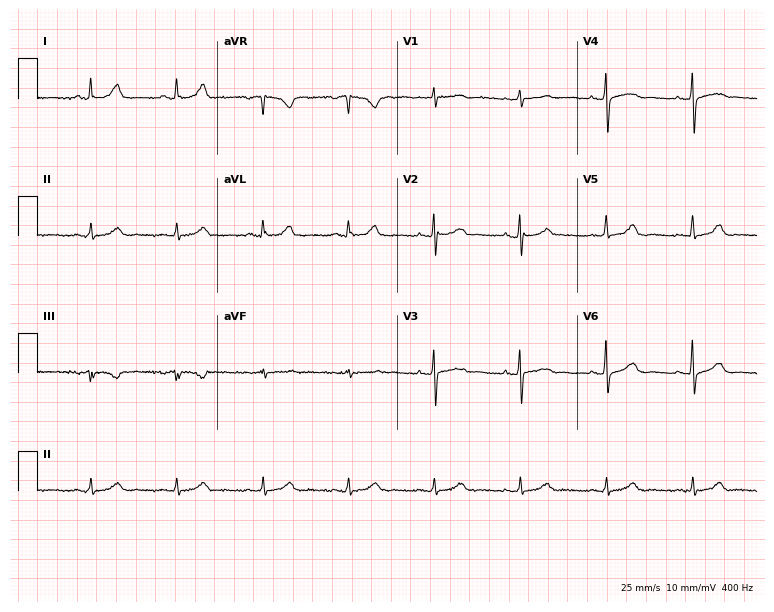
ECG (7.3-second recording at 400 Hz) — a 53-year-old woman. Labelled as a normal ECG.